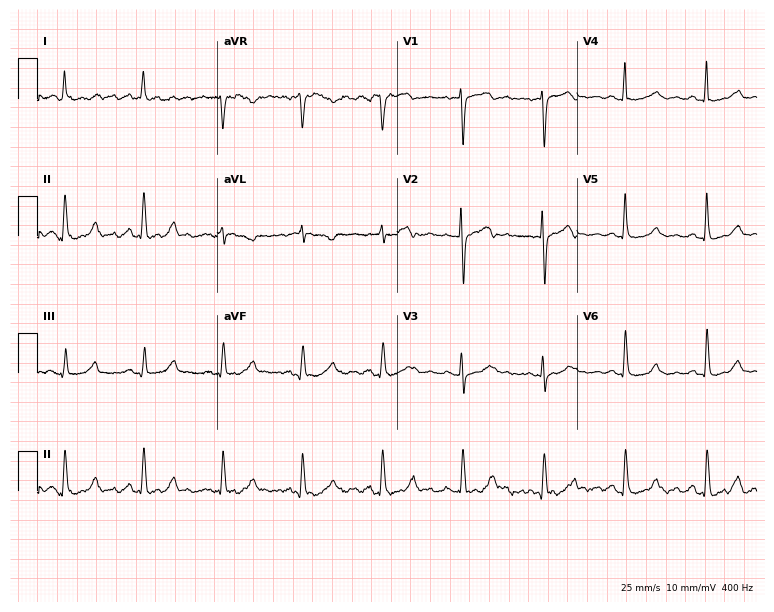
12-lead ECG from a female, 73 years old. No first-degree AV block, right bundle branch block, left bundle branch block, sinus bradycardia, atrial fibrillation or sinus tachycardia recorded for this tracing.